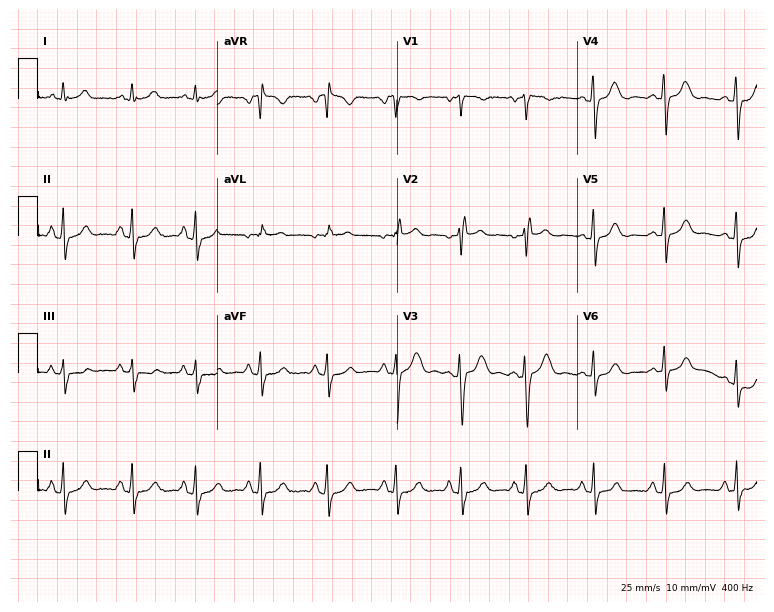
Electrocardiogram, a female patient, 25 years old. Of the six screened findings (first-degree AV block, right bundle branch block, left bundle branch block, sinus bradycardia, atrial fibrillation, sinus tachycardia), none is recorded. Only these six findings were labelled.